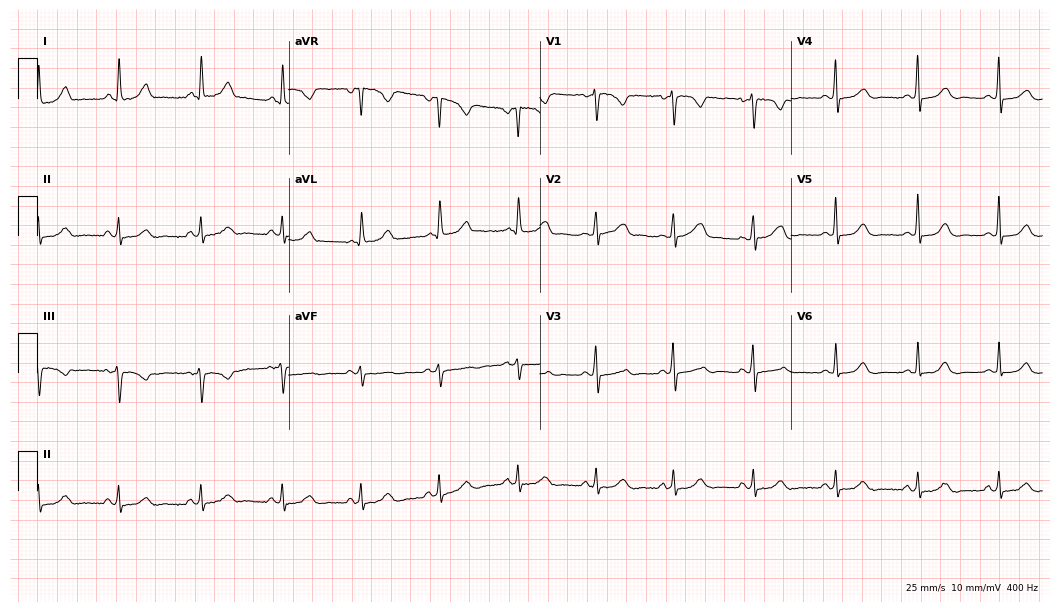
12-lead ECG (10.2-second recording at 400 Hz) from a female, 48 years old. Labelled as a normal ECG.